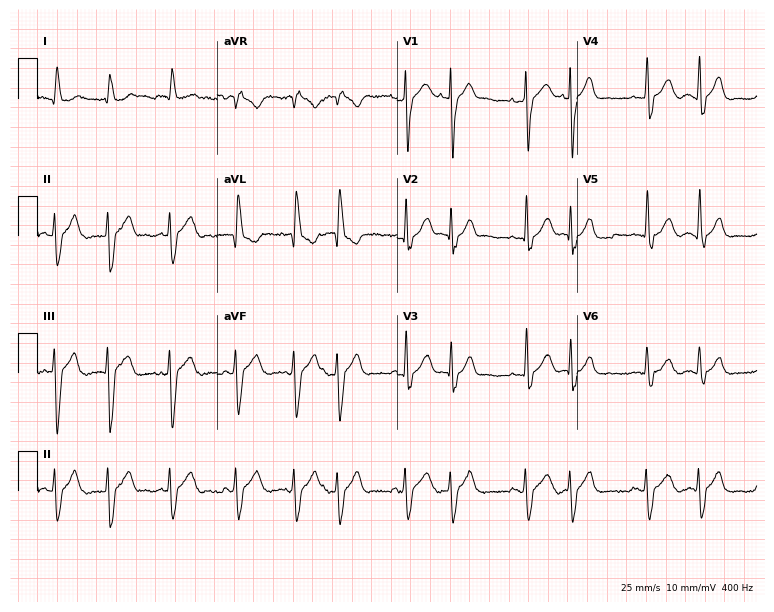
ECG — an 84-year-old female patient. Screened for six findings — first-degree AV block, right bundle branch block (RBBB), left bundle branch block (LBBB), sinus bradycardia, atrial fibrillation (AF), sinus tachycardia — none is recorded.